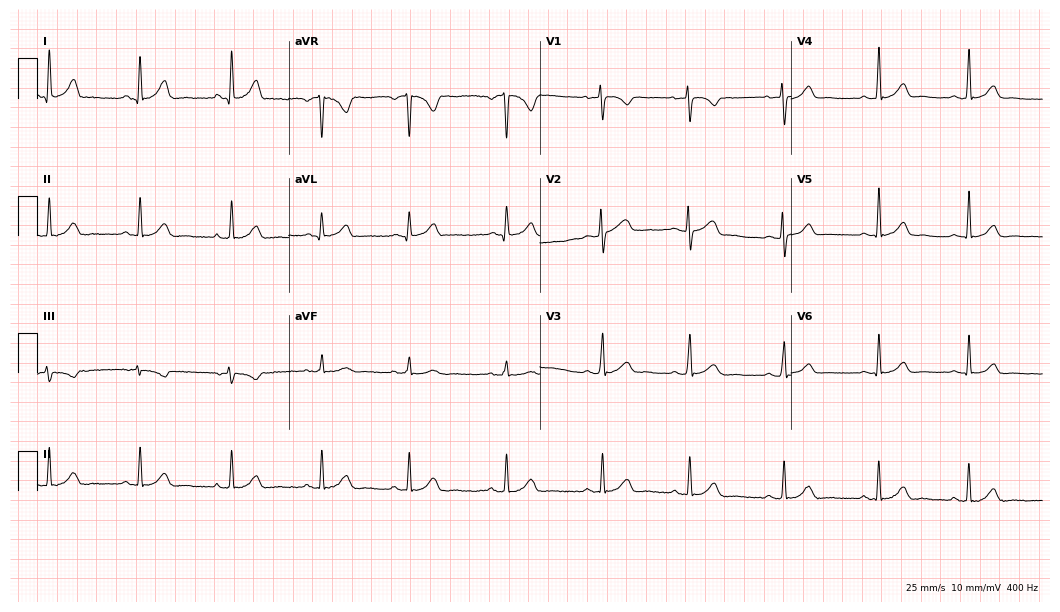
Resting 12-lead electrocardiogram. Patient: a 35-year-old woman. Read as a normal ECG.